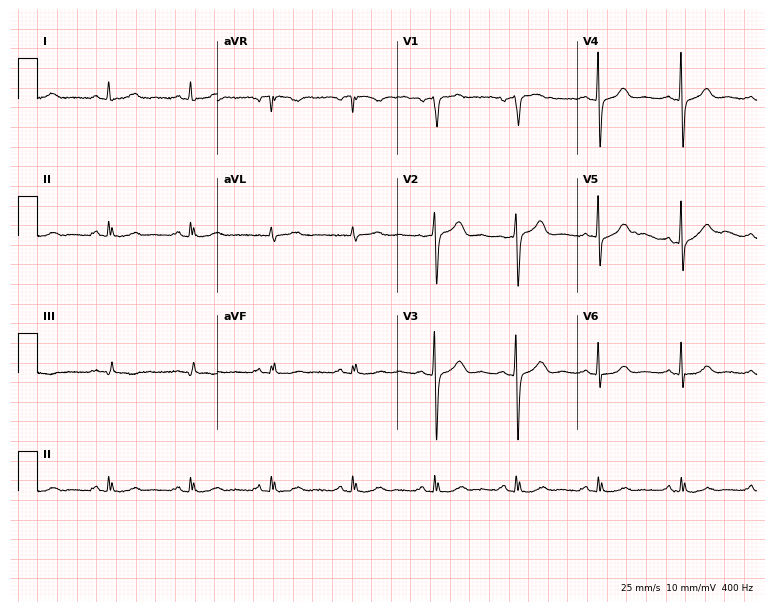
12-lead ECG from a woman, 62 years old (7.3-second recording at 400 Hz). No first-degree AV block, right bundle branch block, left bundle branch block, sinus bradycardia, atrial fibrillation or sinus tachycardia recorded for this tracing.